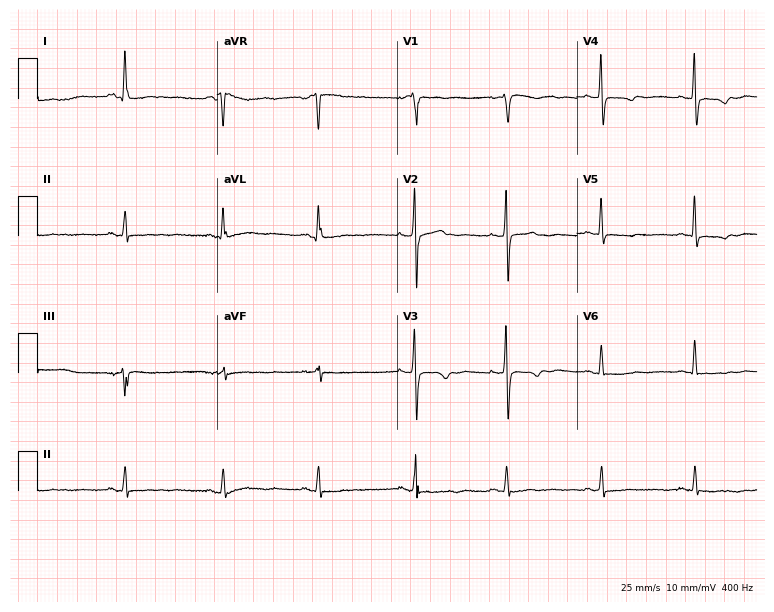
Standard 12-lead ECG recorded from a 68-year-old female (7.3-second recording at 400 Hz). None of these six findings is recorded: first-degree AV block, right bundle branch block (RBBB), left bundle branch block (LBBB), sinus bradycardia, atrial fibrillation (AF), sinus tachycardia. Other findings, if any, are not listed.